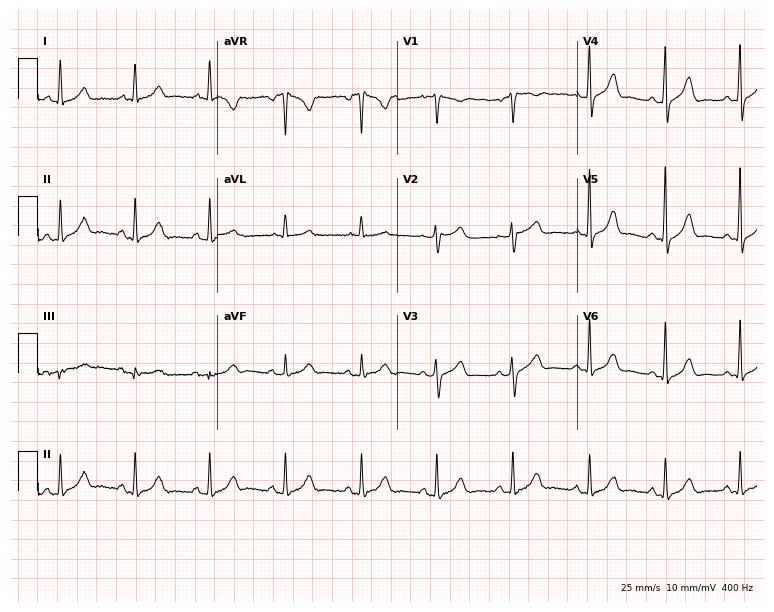
Standard 12-lead ECG recorded from a woman, 83 years old (7.3-second recording at 400 Hz). Read as a normal ECG.